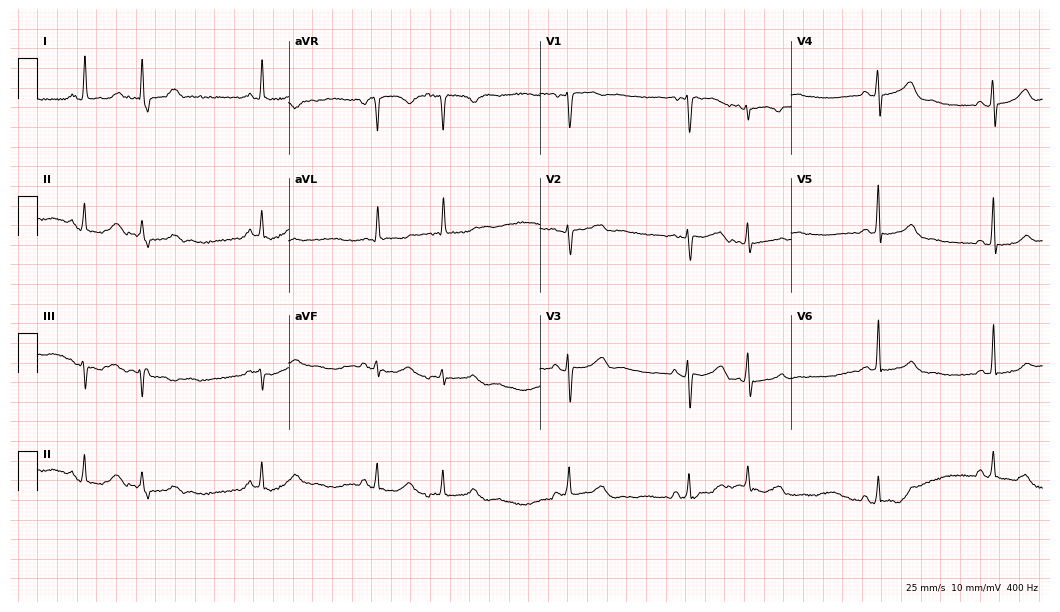
Standard 12-lead ECG recorded from a 46-year-old female. None of these six findings is recorded: first-degree AV block, right bundle branch block (RBBB), left bundle branch block (LBBB), sinus bradycardia, atrial fibrillation (AF), sinus tachycardia. Other findings, if any, are not listed.